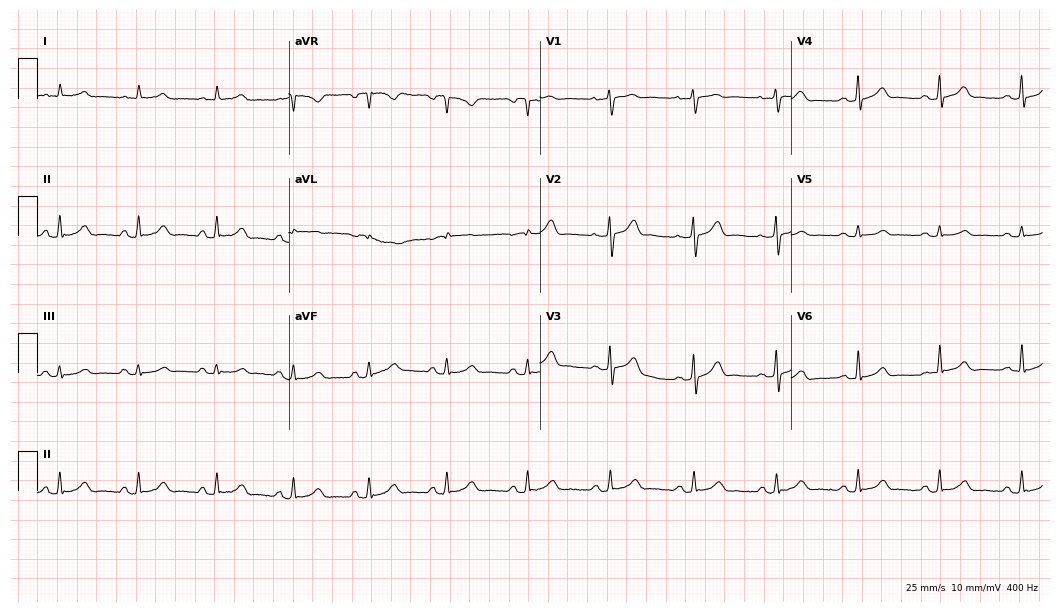
ECG — a male patient, 81 years old. Screened for six findings — first-degree AV block, right bundle branch block (RBBB), left bundle branch block (LBBB), sinus bradycardia, atrial fibrillation (AF), sinus tachycardia — none is recorded.